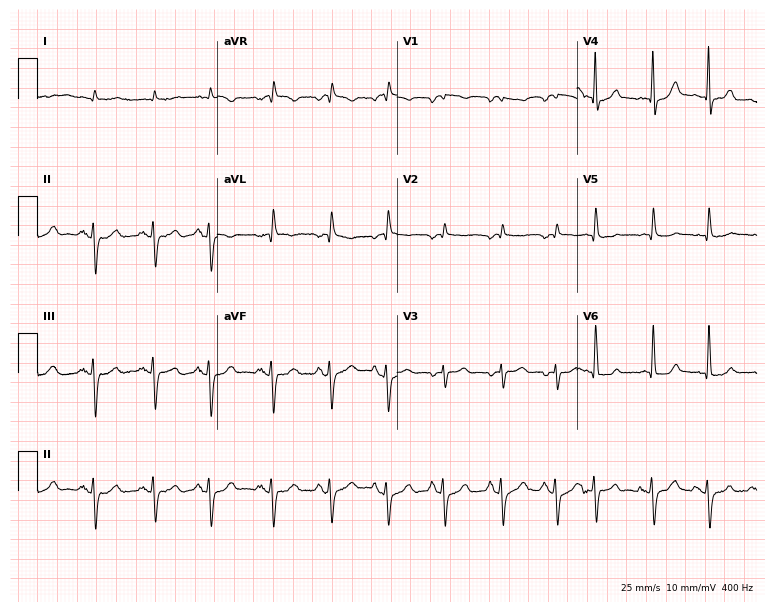
Electrocardiogram (7.3-second recording at 400 Hz), an 81-year-old male patient. Of the six screened findings (first-degree AV block, right bundle branch block (RBBB), left bundle branch block (LBBB), sinus bradycardia, atrial fibrillation (AF), sinus tachycardia), none is recorded.